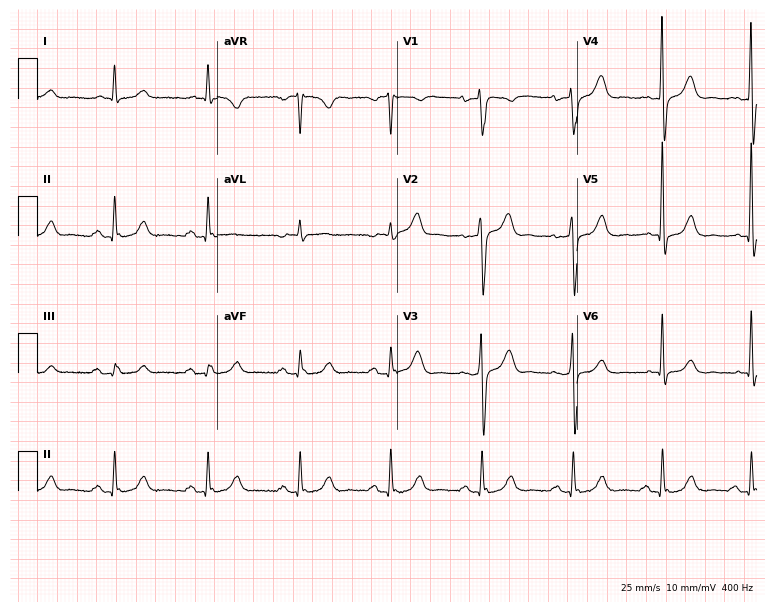
12-lead ECG from an 80-year-old male. Screened for six findings — first-degree AV block, right bundle branch block, left bundle branch block, sinus bradycardia, atrial fibrillation, sinus tachycardia — none is recorded. Only these six findings were labelled.